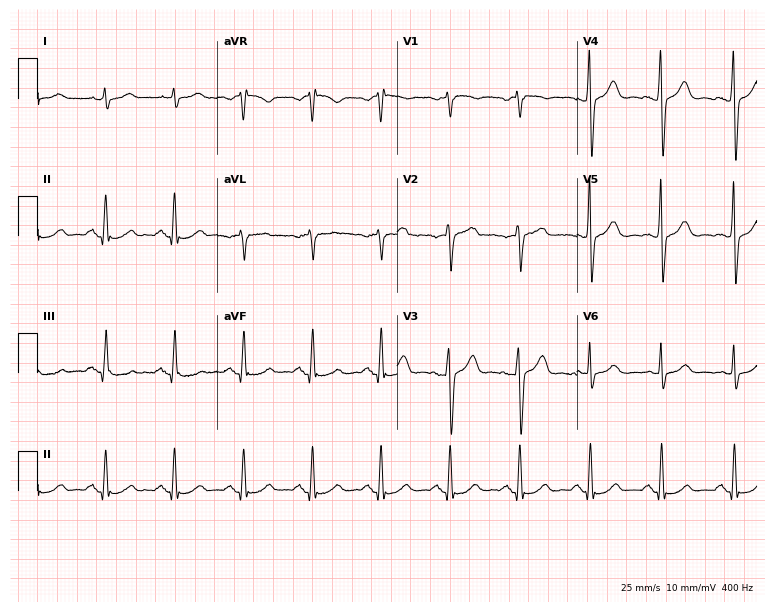
ECG (7.3-second recording at 400 Hz) — a male, 69 years old. Labelled as a normal ECG.